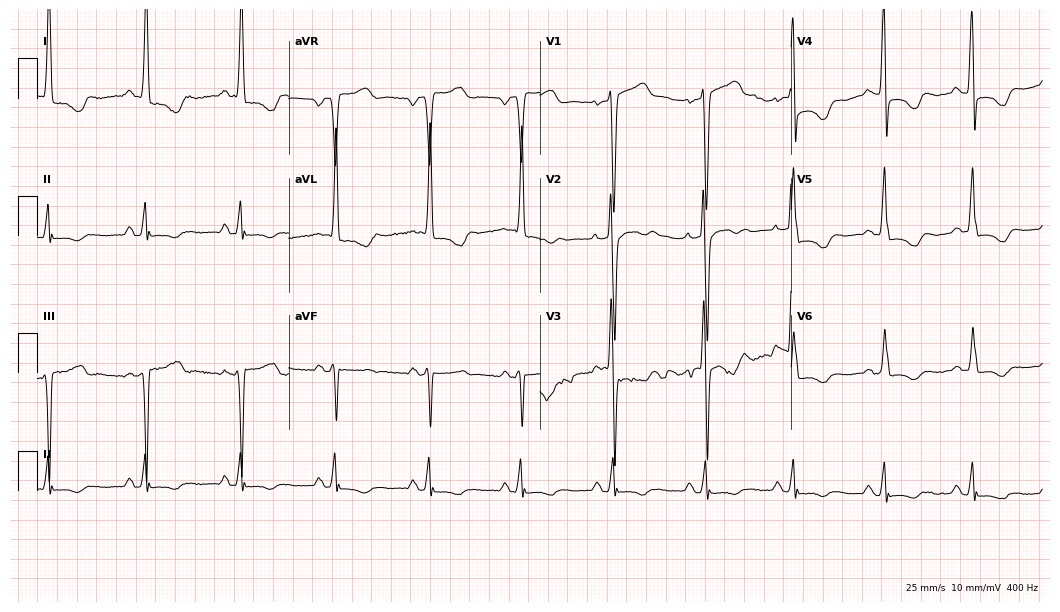
Electrocardiogram, a man, 44 years old. Of the six screened findings (first-degree AV block, right bundle branch block, left bundle branch block, sinus bradycardia, atrial fibrillation, sinus tachycardia), none is recorded. Findings outside these six are not listed.